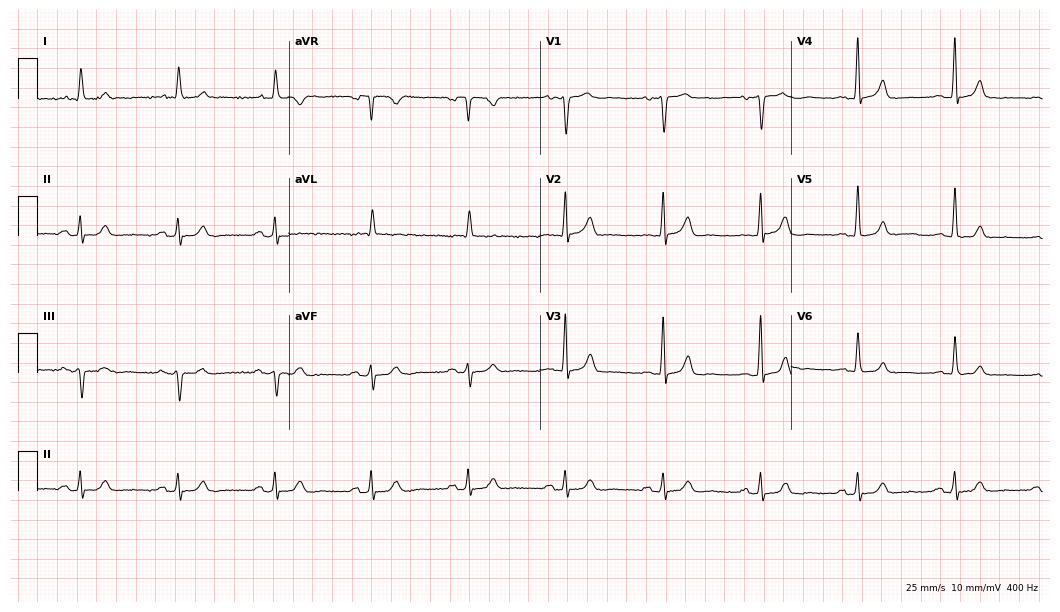
Resting 12-lead electrocardiogram. Patient: a male, 74 years old. Read as a normal ECG.